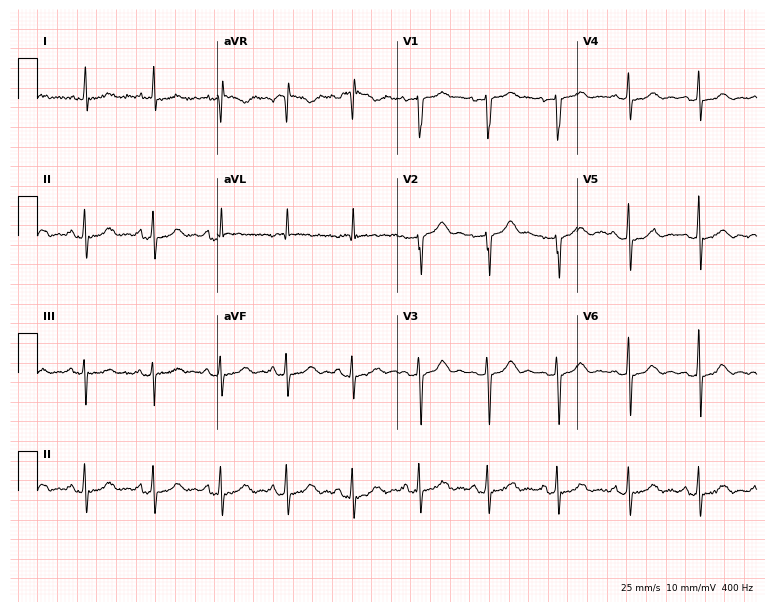
Standard 12-lead ECG recorded from a 59-year-old female. None of these six findings is recorded: first-degree AV block, right bundle branch block (RBBB), left bundle branch block (LBBB), sinus bradycardia, atrial fibrillation (AF), sinus tachycardia. Other findings, if any, are not listed.